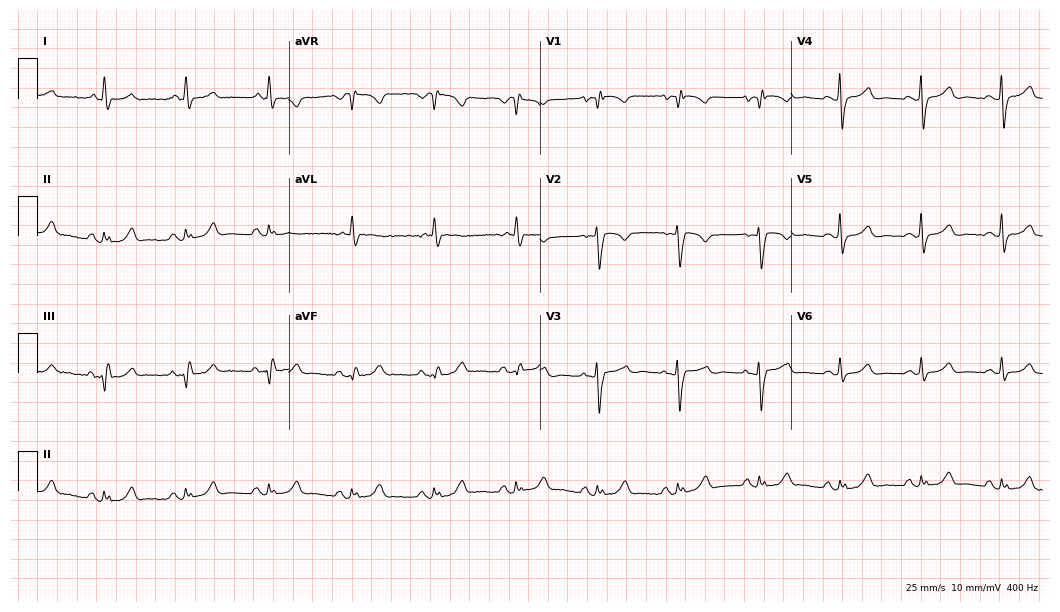
Electrocardiogram (10.2-second recording at 400 Hz), a 52-year-old woman. Overall reading on record: normal ECG.